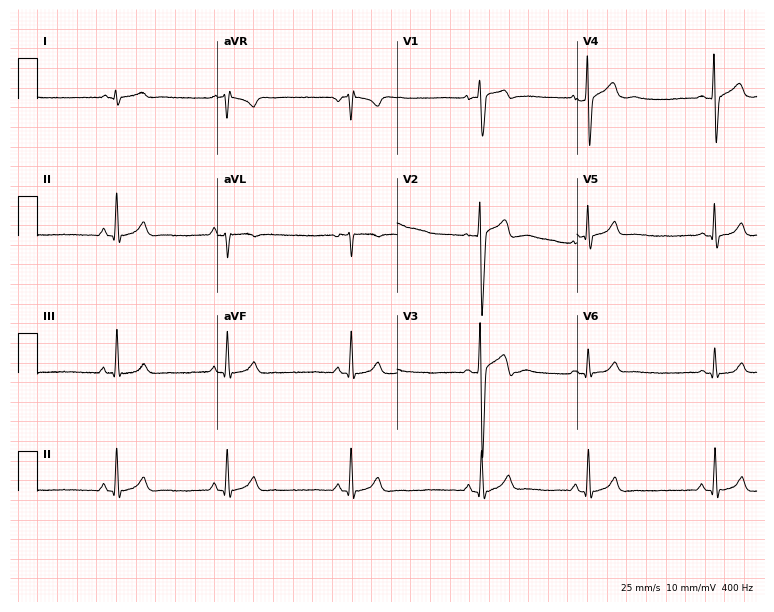
Electrocardiogram, a male, 17 years old. Overall reading on record: normal ECG.